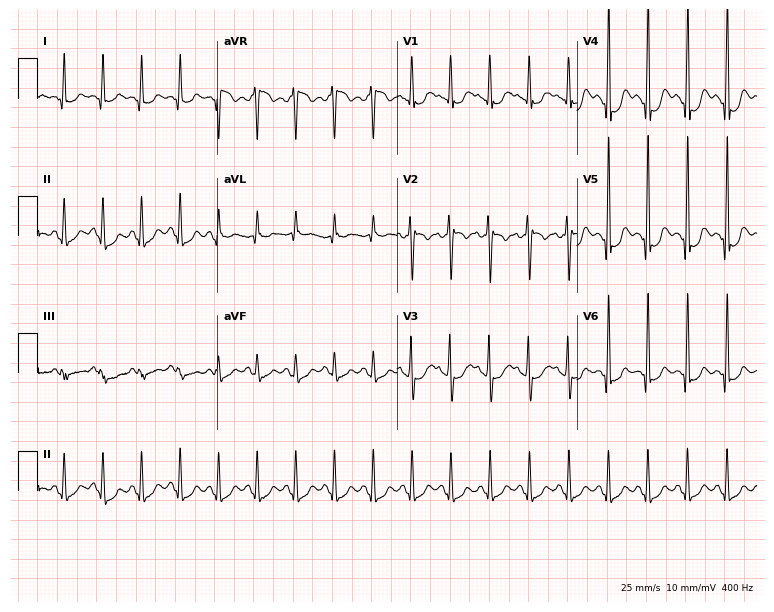
Electrocardiogram (7.3-second recording at 400 Hz), a female, 45 years old. Interpretation includes sinus tachycardia (a sinus rate of 100 beats per minute or more).